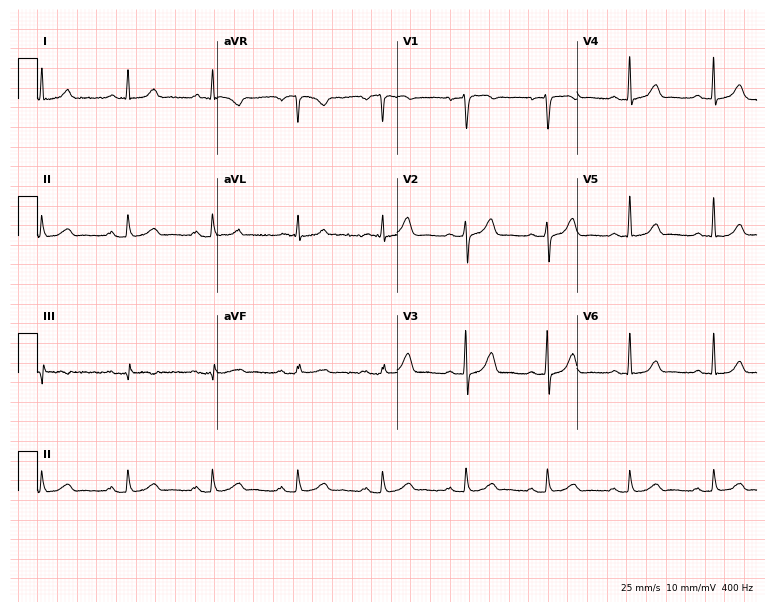
12-lead ECG from a female, 50 years old. Screened for six findings — first-degree AV block, right bundle branch block, left bundle branch block, sinus bradycardia, atrial fibrillation, sinus tachycardia — none is recorded.